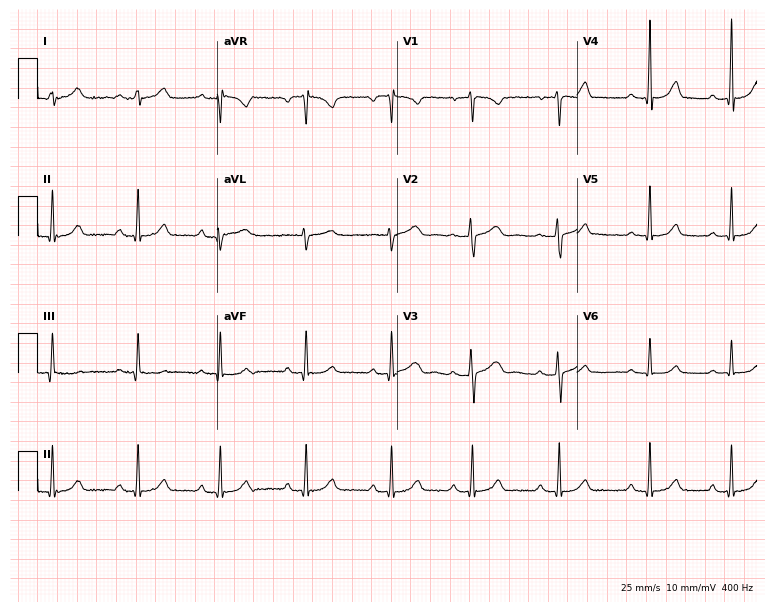
12-lead ECG (7.3-second recording at 400 Hz) from a 34-year-old female patient. Findings include first-degree AV block.